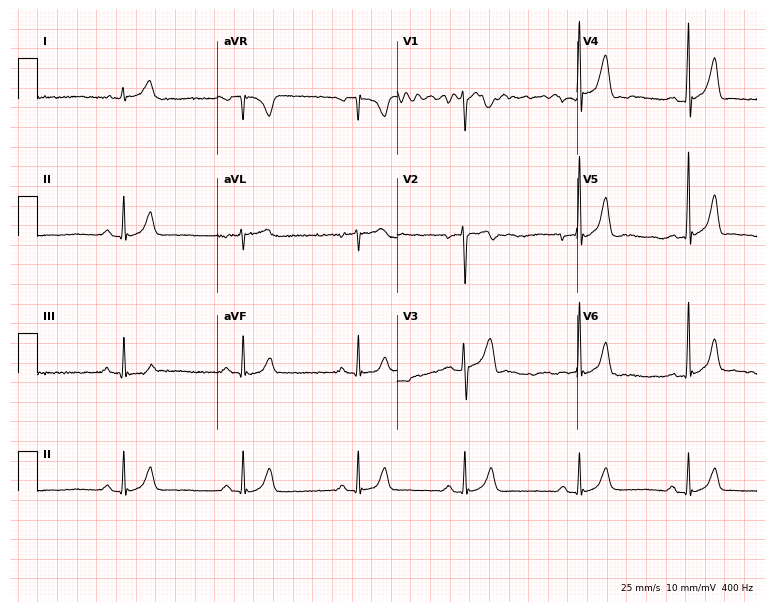
Standard 12-lead ECG recorded from a 25-year-old man. Read as a normal ECG.